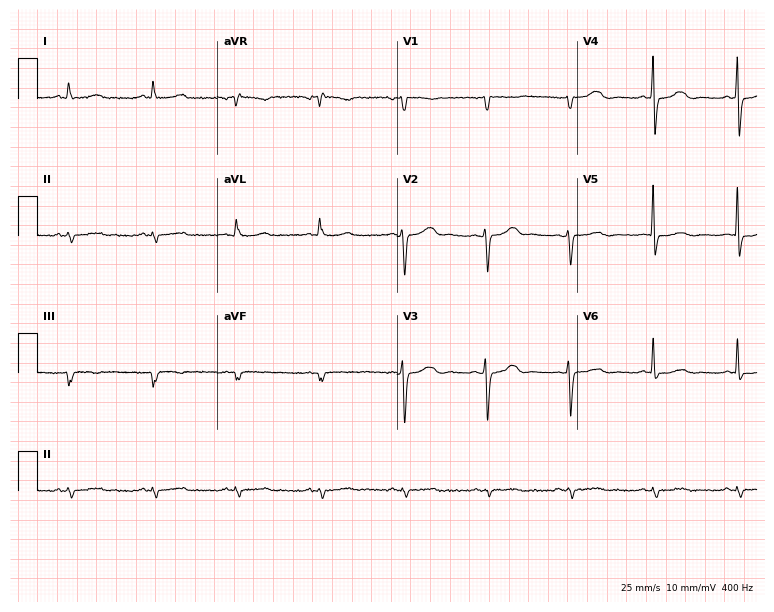
ECG — a 70-year-old female patient. Screened for six findings — first-degree AV block, right bundle branch block (RBBB), left bundle branch block (LBBB), sinus bradycardia, atrial fibrillation (AF), sinus tachycardia — none is recorded. Only these six findings were labelled.